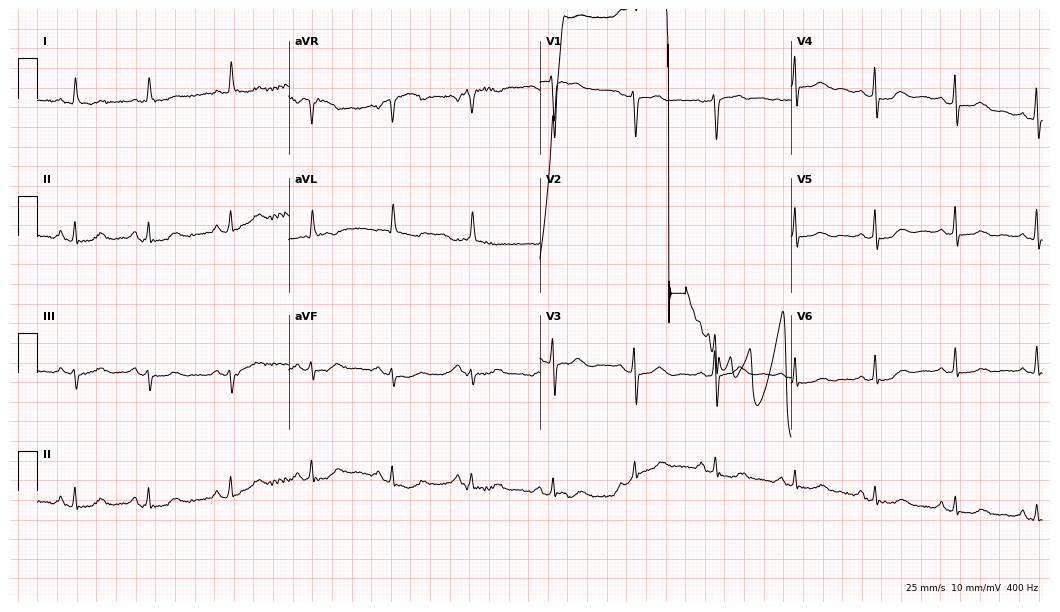
Electrocardiogram, a 71-year-old female. Of the six screened findings (first-degree AV block, right bundle branch block, left bundle branch block, sinus bradycardia, atrial fibrillation, sinus tachycardia), none is recorded.